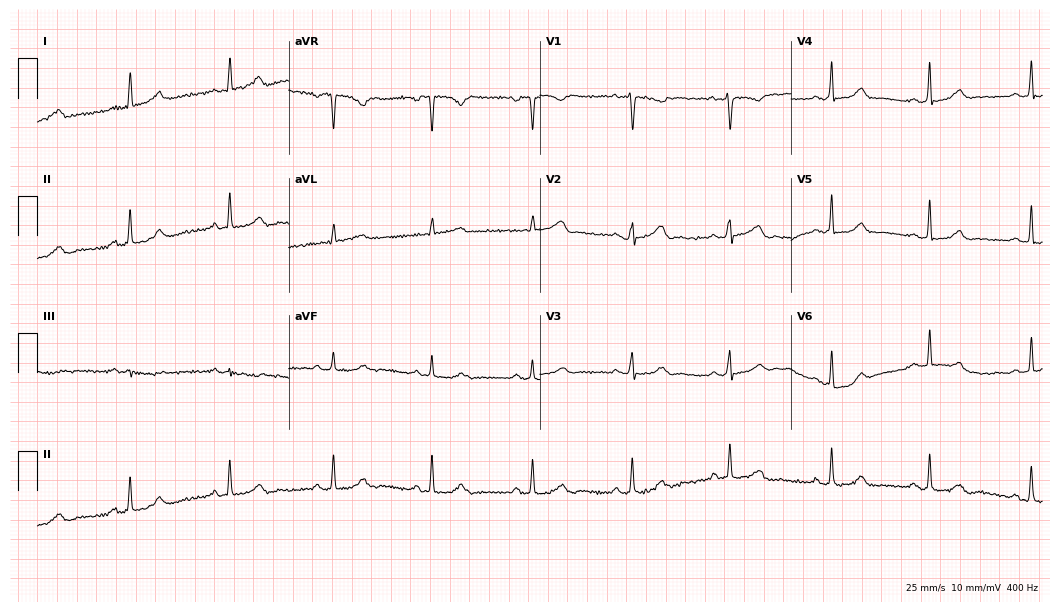
Resting 12-lead electrocardiogram. Patient: a woman, 27 years old. None of these six findings is recorded: first-degree AV block, right bundle branch block, left bundle branch block, sinus bradycardia, atrial fibrillation, sinus tachycardia. Other findings, if any, are not listed.